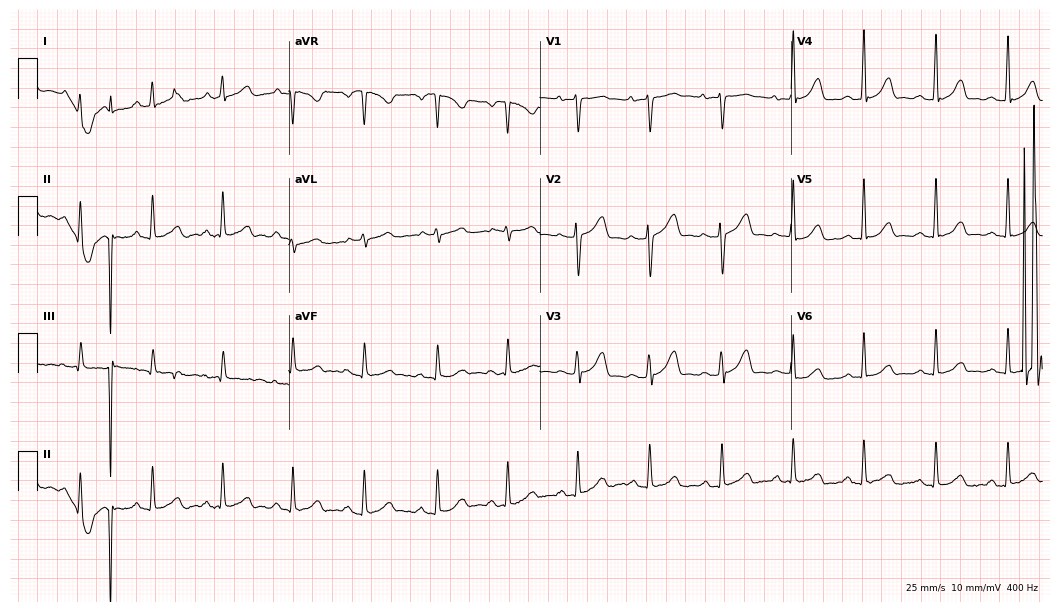
ECG — a female, 32 years old. Labelled as a normal ECG.